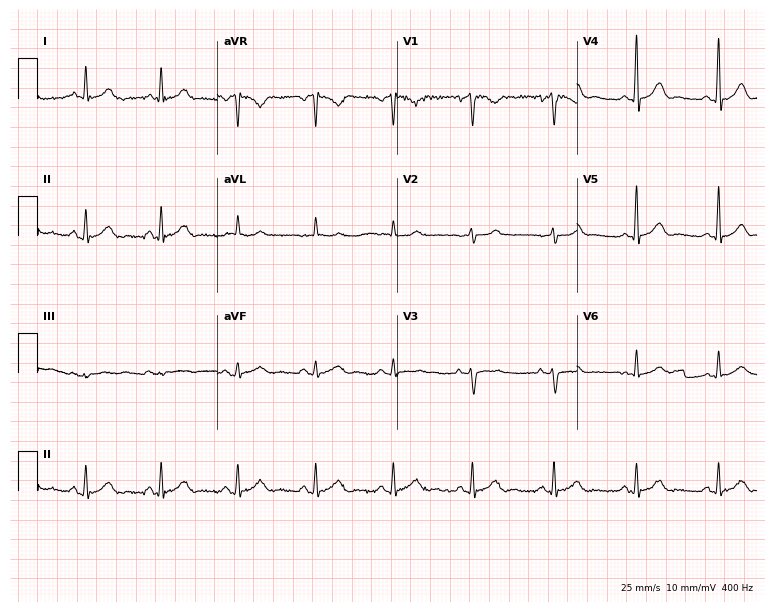
ECG — a 50-year-old male. Screened for six findings — first-degree AV block, right bundle branch block, left bundle branch block, sinus bradycardia, atrial fibrillation, sinus tachycardia — none is recorded.